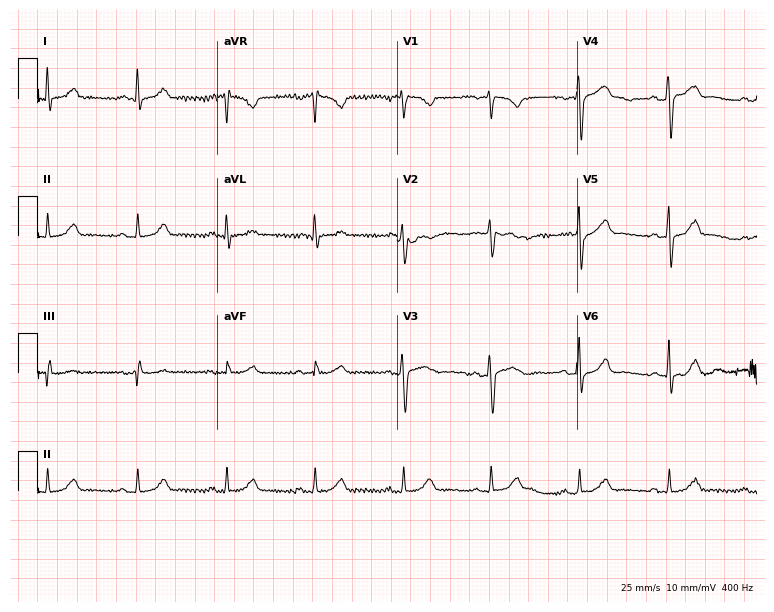
12-lead ECG from a 56-year-old male. Recorded interpretation: within normal limits.